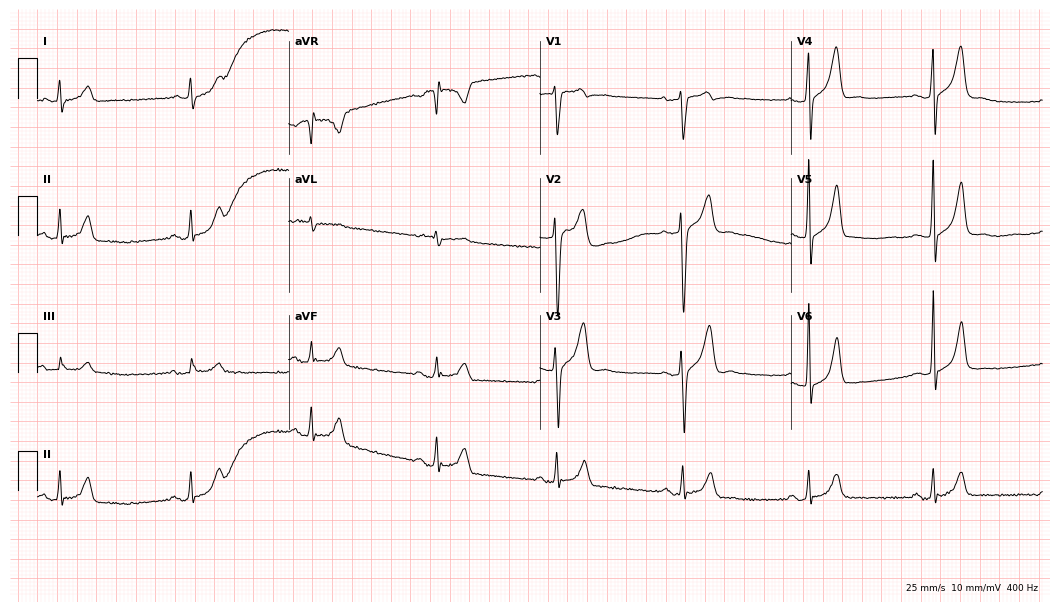
Standard 12-lead ECG recorded from a 33-year-old male. Read as a normal ECG.